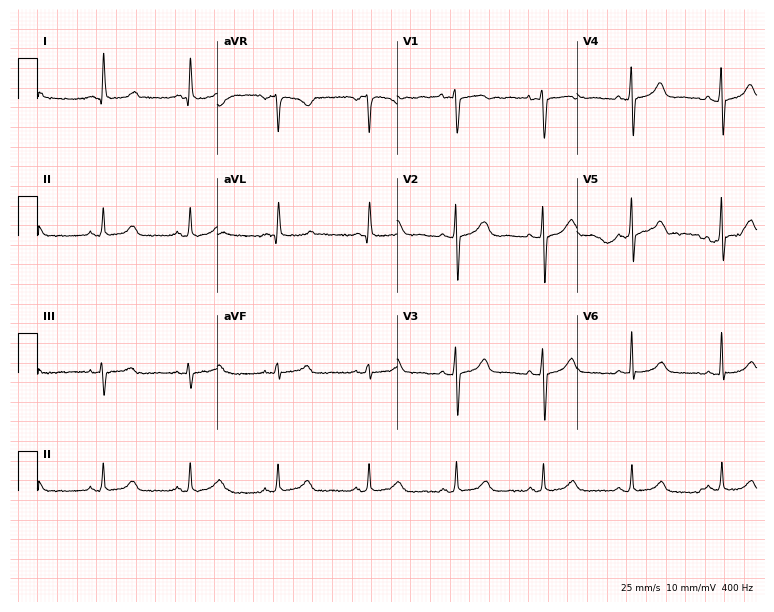
ECG (7.3-second recording at 400 Hz) — a woman, 42 years old. Labelled as a normal ECG.